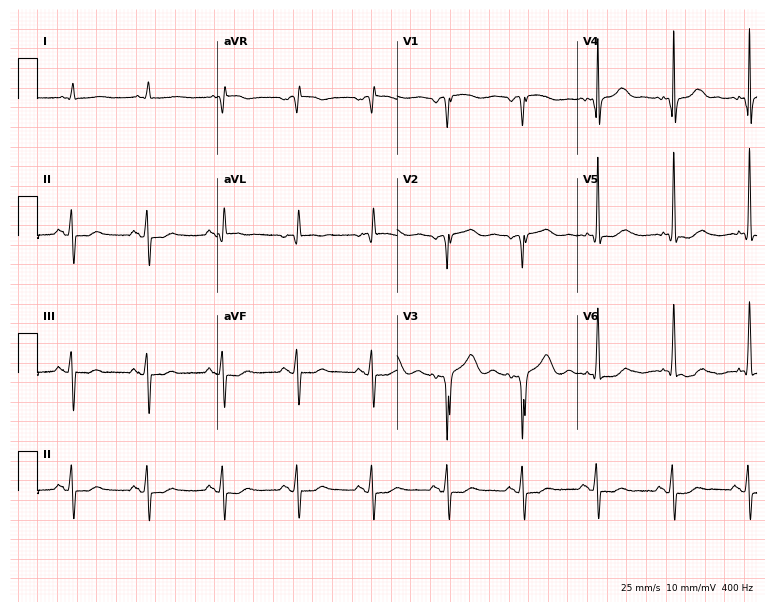
Electrocardiogram (7.3-second recording at 400 Hz), a 76-year-old man. Of the six screened findings (first-degree AV block, right bundle branch block, left bundle branch block, sinus bradycardia, atrial fibrillation, sinus tachycardia), none is recorded.